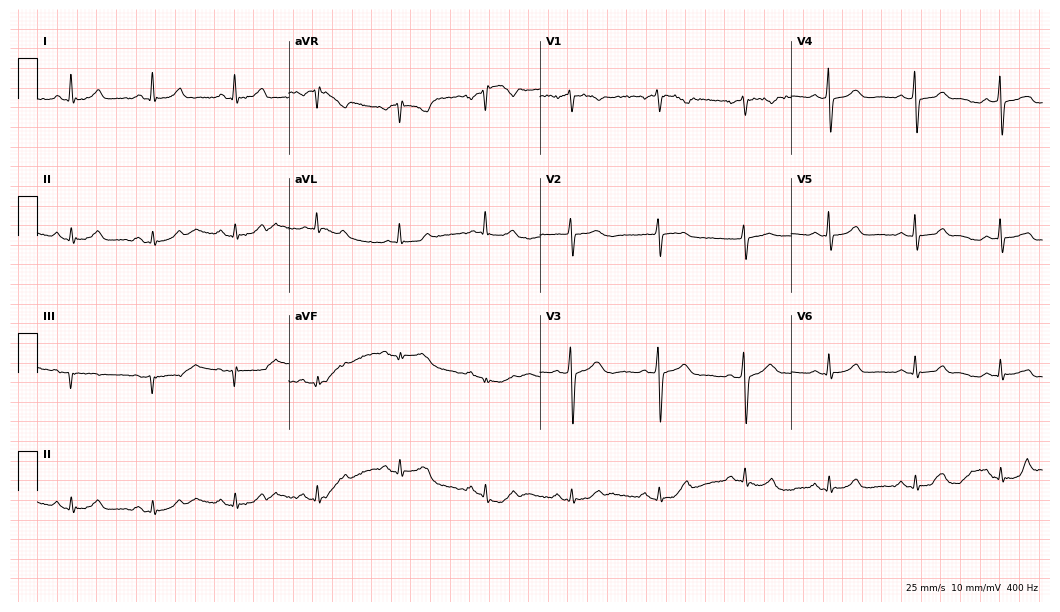
ECG (10.2-second recording at 400 Hz) — a 68-year-old female patient. Screened for six findings — first-degree AV block, right bundle branch block (RBBB), left bundle branch block (LBBB), sinus bradycardia, atrial fibrillation (AF), sinus tachycardia — none is recorded.